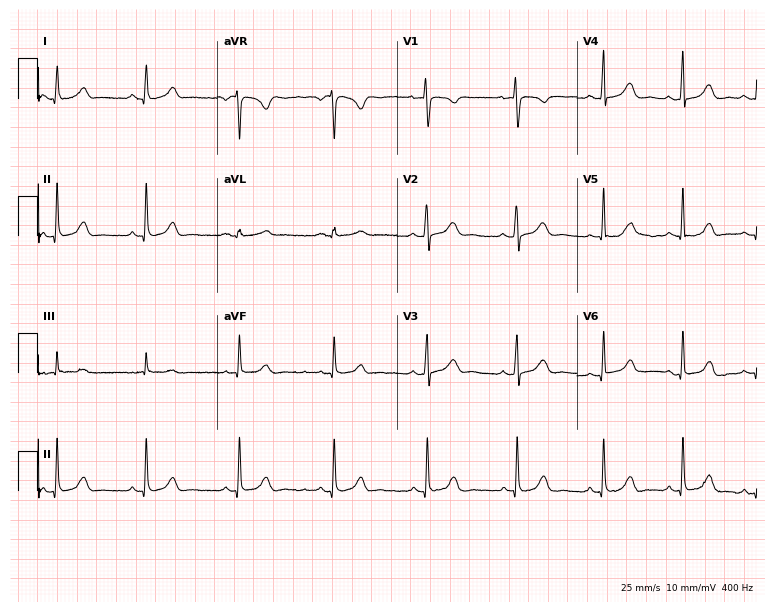
Electrocardiogram (7.3-second recording at 400 Hz), a 34-year-old female. Of the six screened findings (first-degree AV block, right bundle branch block, left bundle branch block, sinus bradycardia, atrial fibrillation, sinus tachycardia), none is recorded.